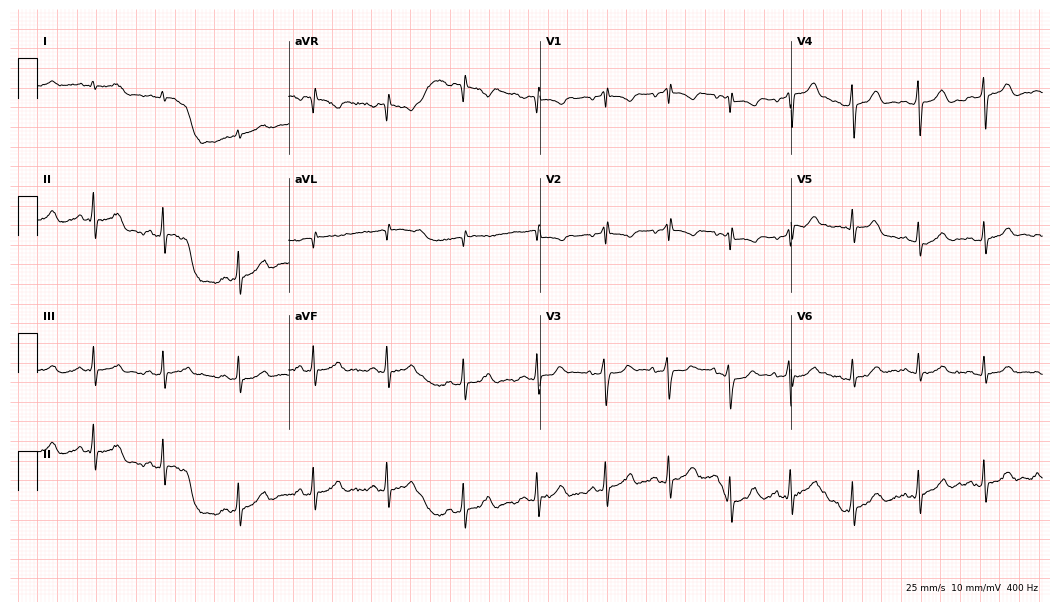
Standard 12-lead ECG recorded from a 19-year-old male. Read as a normal ECG.